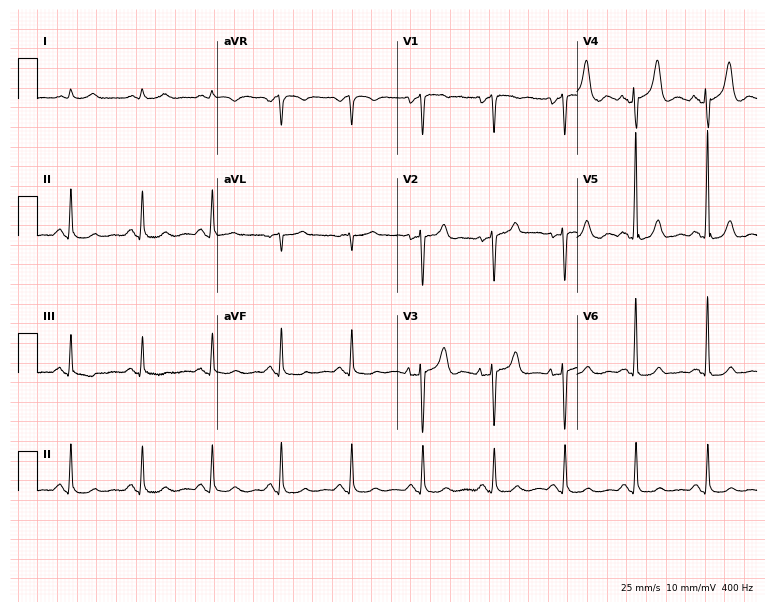
Electrocardiogram, a 68-year-old woman. Overall reading on record: normal ECG.